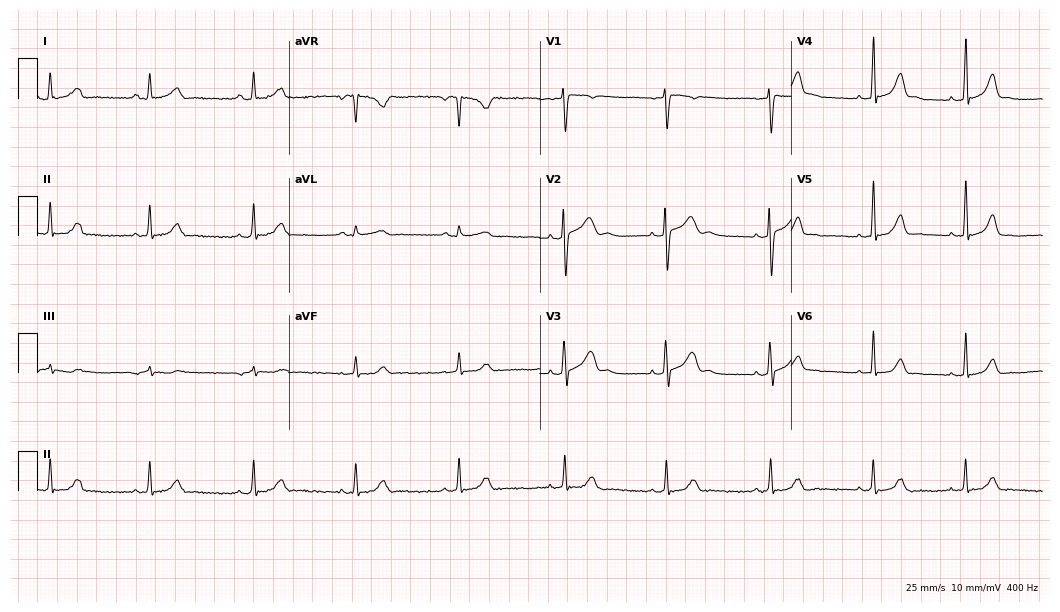
12-lead ECG from a 24-year-old woman. Screened for six findings — first-degree AV block, right bundle branch block (RBBB), left bundle branch block (LBBB), sinus bradycardia, atrial fibrillation (AF), sinus tachycardia — none is recorded.